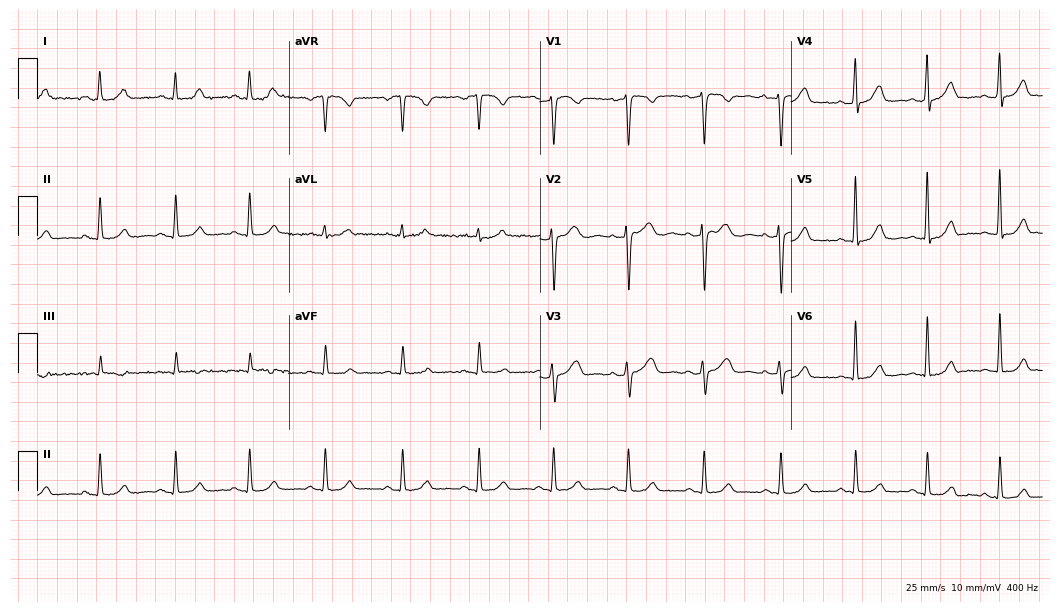
Standard 12-lead ECG recorded from a 42-year-old woman (10.2-second recording at 400 Hz). Read as a normal ECG.